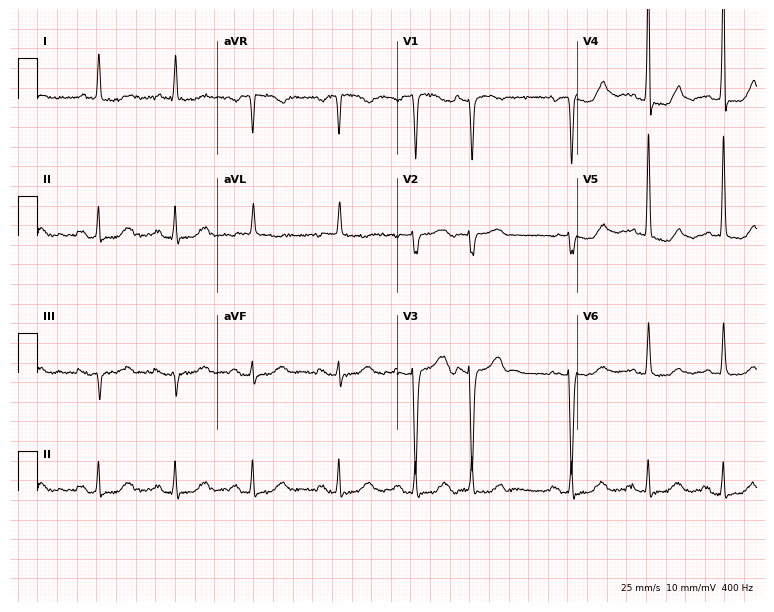
Electrocardiogram (7.3-second recording at 400 Hz), an 80-year-old female. Of the six screened findings (first-degree AV block, right bundle branch block, left bundle branch block, sinus bradycardia, atrial fibrillation, sinus tachycardia), none is recorded.